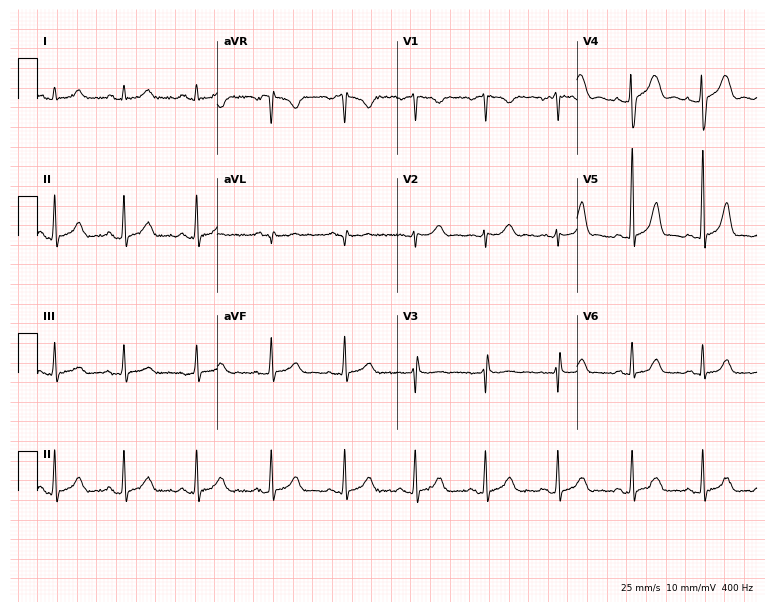
ECG — a 26-year-old female. Labelled as a normal ECG.